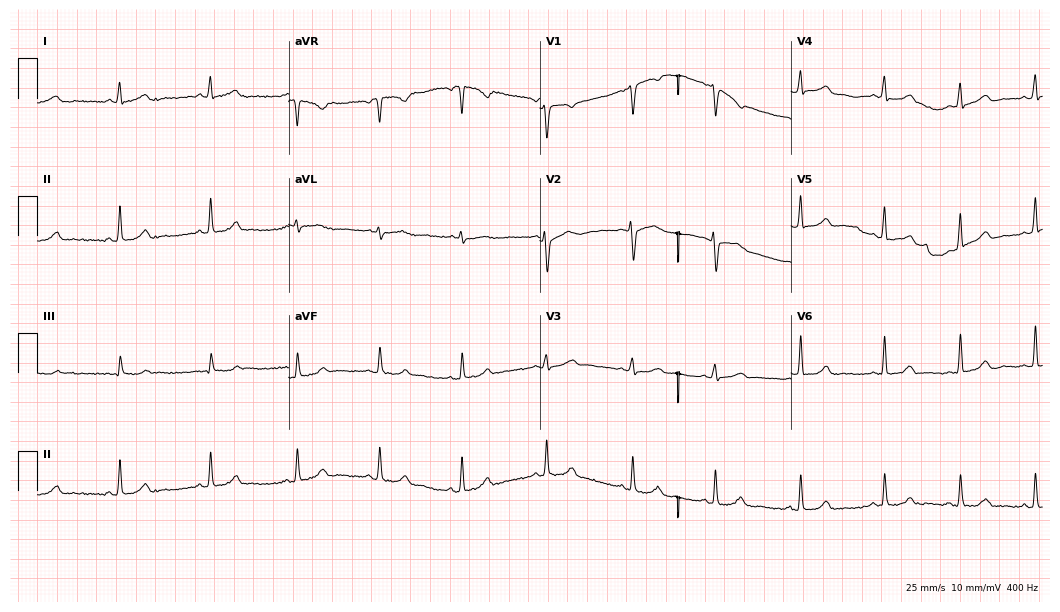
ECG (10.2-second recording at 400 Hz) — a 28-year-old woman. Labelled as a normal ECG.